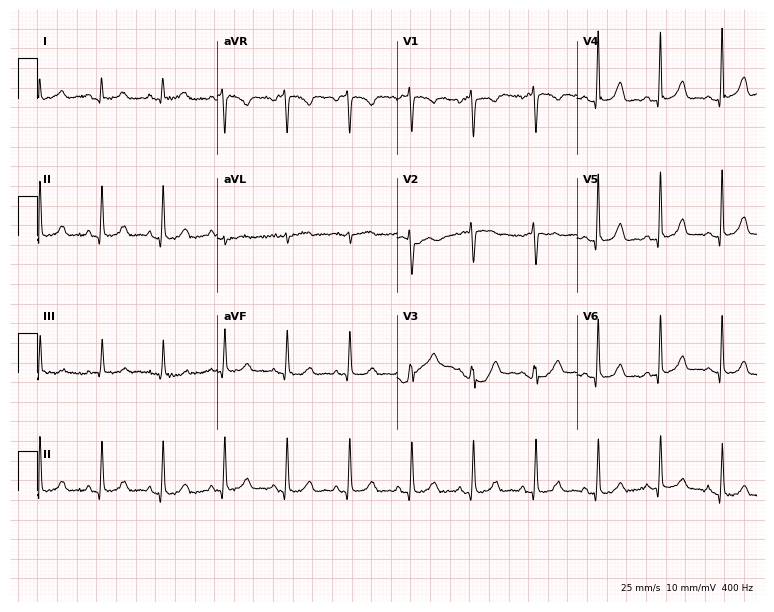
Electrocardiogram, a 37-year-old woman. Overall reading on record: normal ECG.